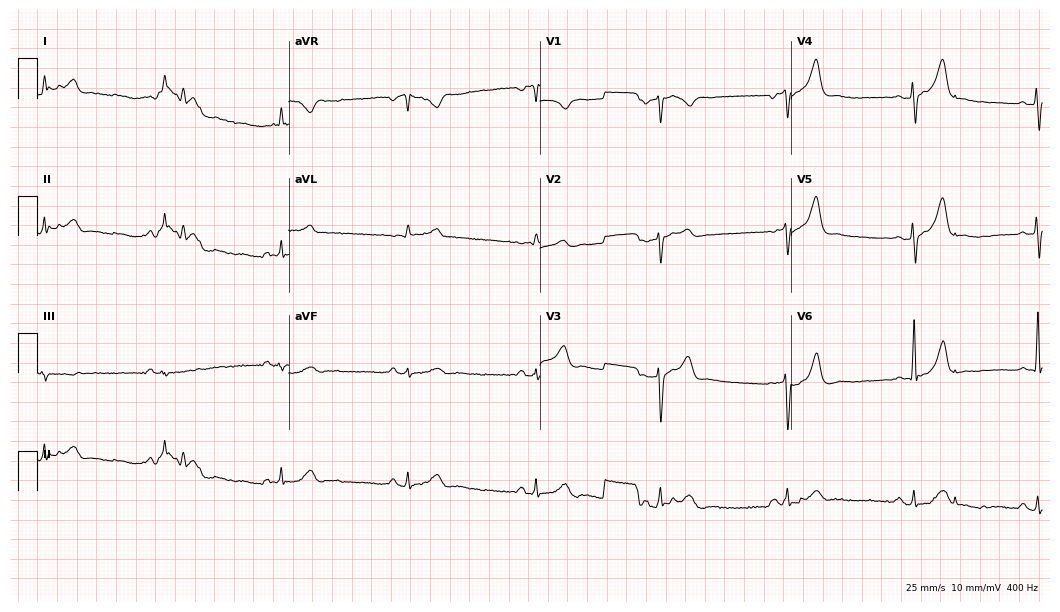
ECG — a man, 53 years old. Findings include sinus bradycardia (a sinus rate of 50 beats per minute or less).